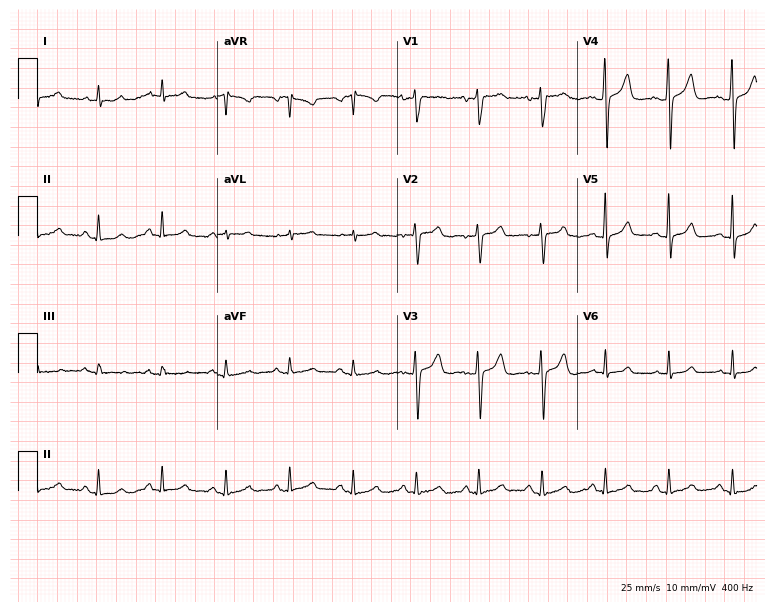
Electrocardiogram, a female, 40 years old. Of the six screened findings (first-degree AV block, right bundle branch block (RBBB), left bundle branch block (LBBB), sinus bradycardia, atrial fibrillation (AF), sinus tachycardia), none is recorded.